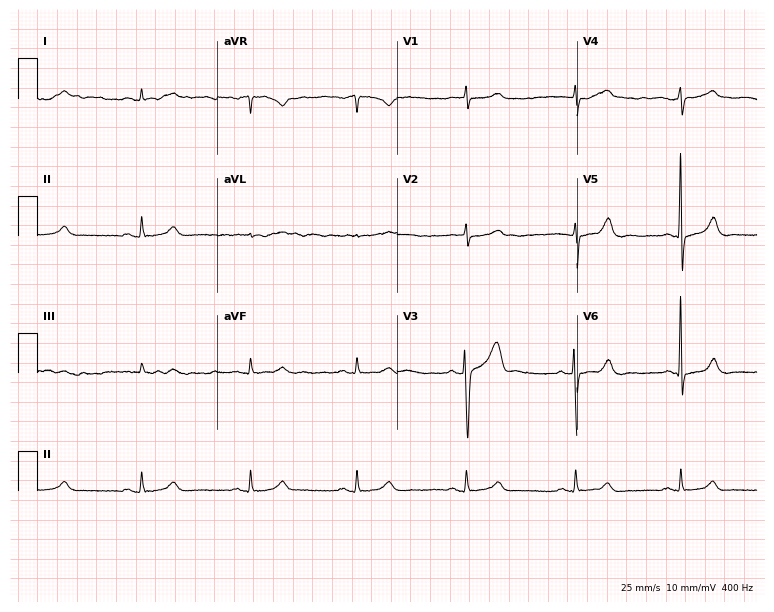
12-lead ECG from a 42-year-old male (7.3-second recording at 400 Hz). No first-degree AV block, right bundle branch block (RBBB), left bundle branch block (LBBB), sinus bradycardia, atrial fibrillation (AF) or sinus tachycardia recorded for this tracing. Other findings, if any, are not listed.